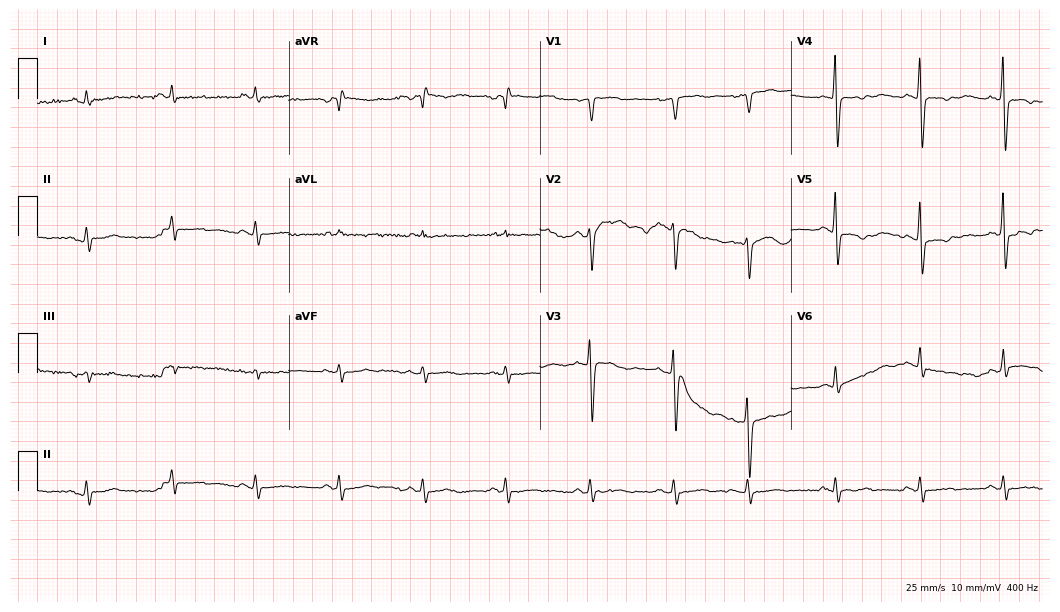
12-lead ECG (10.2-second recording at 400 Hz) from a male patient, 71 years old. Screened for six findings — first-degree AV block, right bundle branch block, left bundle branch block, sinus bradycardia, atrial fibrillation, sinus tachycardia — none is recorded.